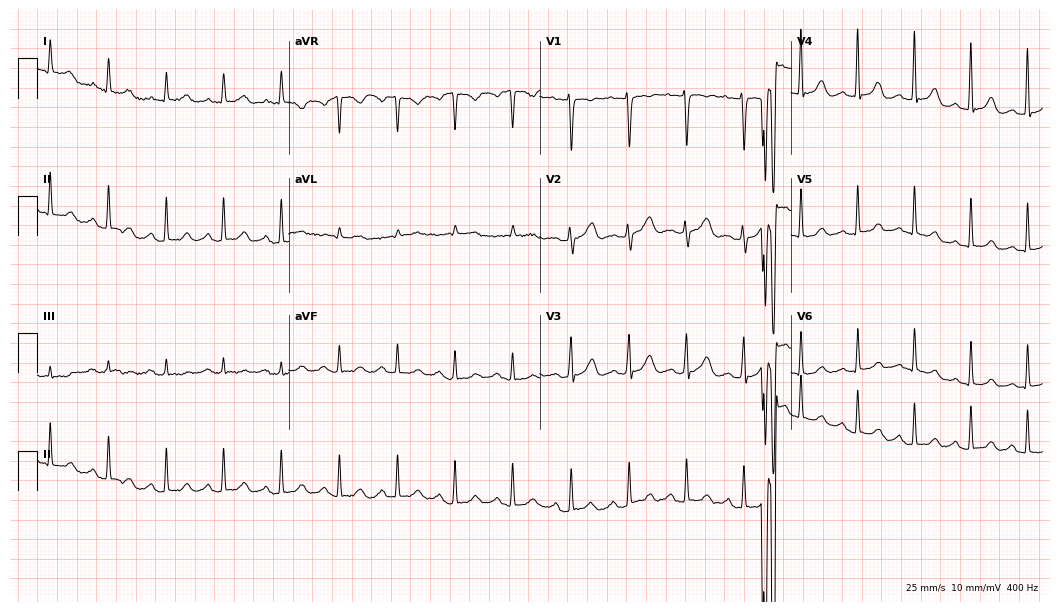
Standard 12-lead ECG recorded from a 47-year-old female (10.2-second recording at 400 Hz). Read as a normal ECG.